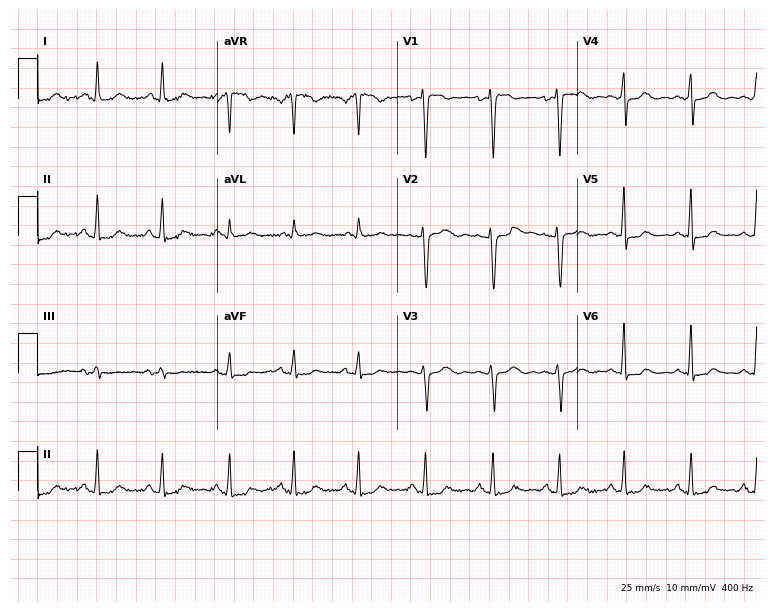
12-lead ECG from a female, 40 years old. No first-degree AV block, right bundle branch block (RBBB), left bundle branch block (LBBB), sinus bradycardia, atrial fibrillation (AF) or sinus tachycardia recorded for this tracing. Other findings, if any, are not listed.